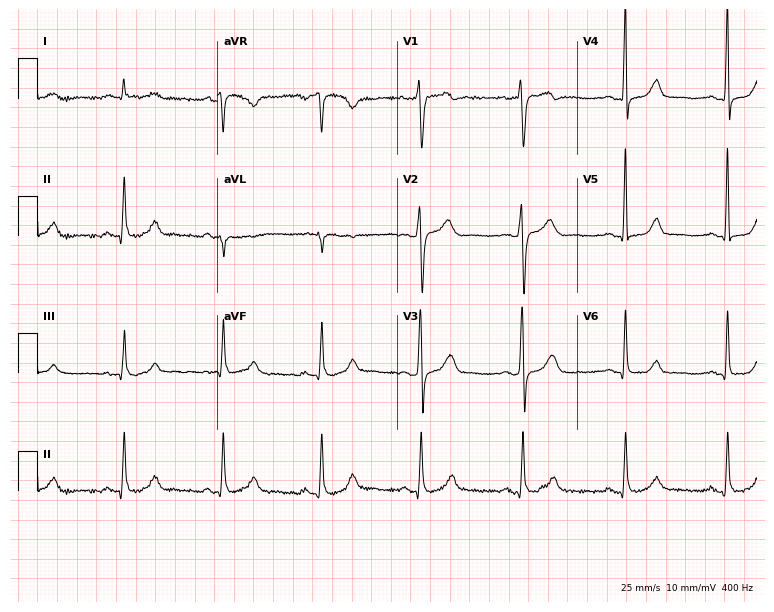
Electrocardiogram, a 48-year-old man. Overall reading on record: normal ECG.